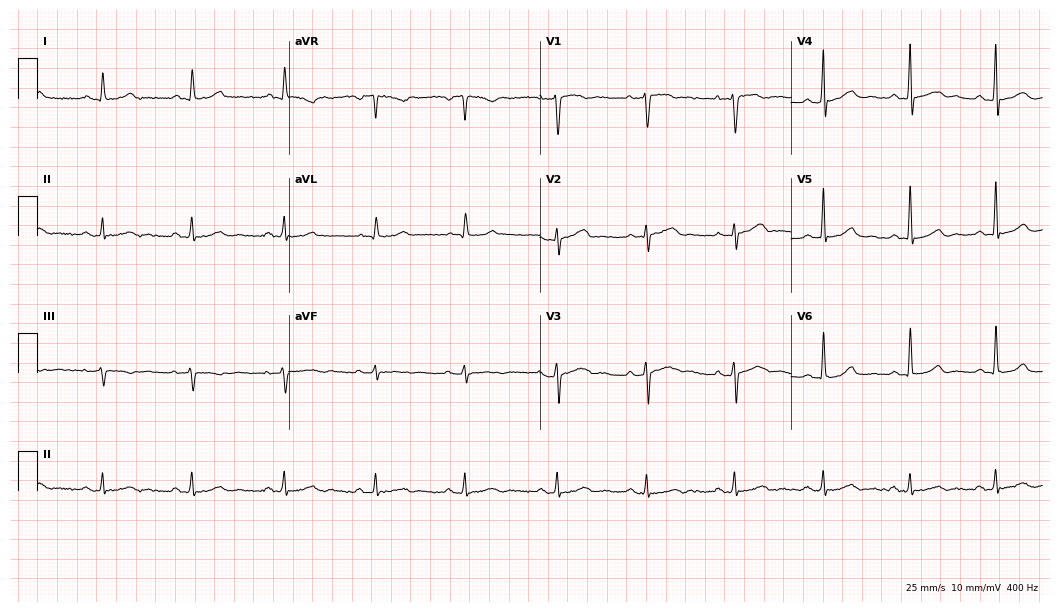
Resting 12-lead electrocardiogram (10.2-second recording at 400 Hz). Patient: a female, 54 years old. Read as a normal ECG.